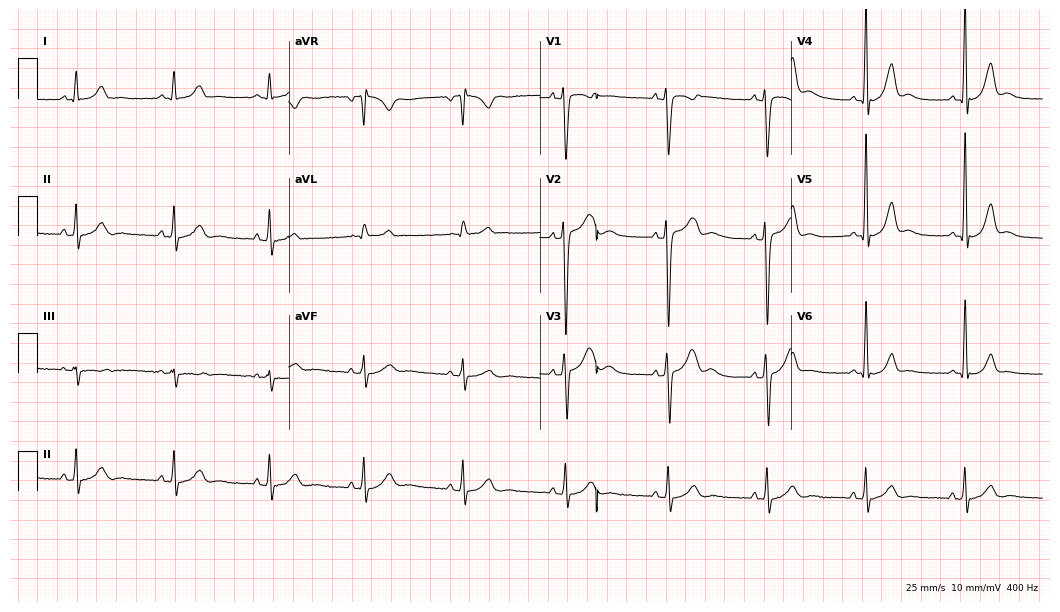
12-lead ECG (10.2-second recording at 400 Hz) from a man, 23 years old. Screened for six findings — first-degree AV block, right bundle branch block, left bundle branch block, sinus bradycardia, atrial fibrillation, sinus tachycardia — none is recorded. Only these six findings were labelled.